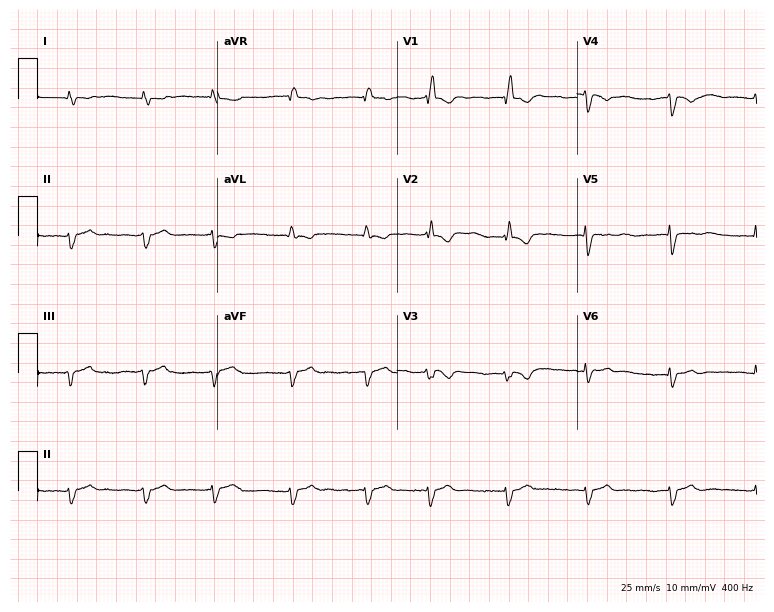
Standard 12-lead ECG recorded from a 74-year-old male patient. The tracing shows atrial fibrillation (AF).